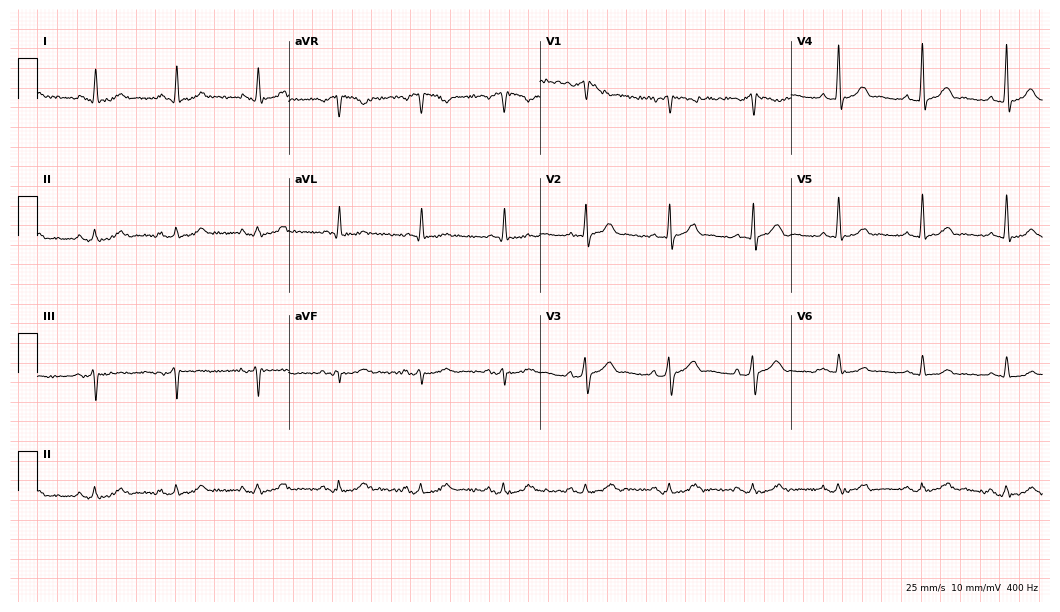
Electrocardiogram (10.2-second recording at 400 Hz), a man, 58 years old. Overall reading on record: normal ECG.